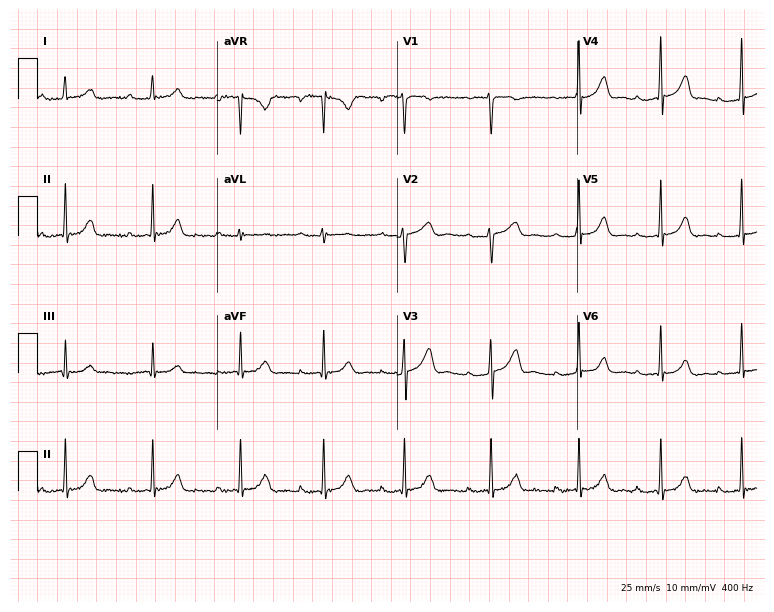
Standard 12-lead ECG recorded from a female patient, 27 years old (7.3-second recording at 400 Hz). The tracing shows first-degree AV block.